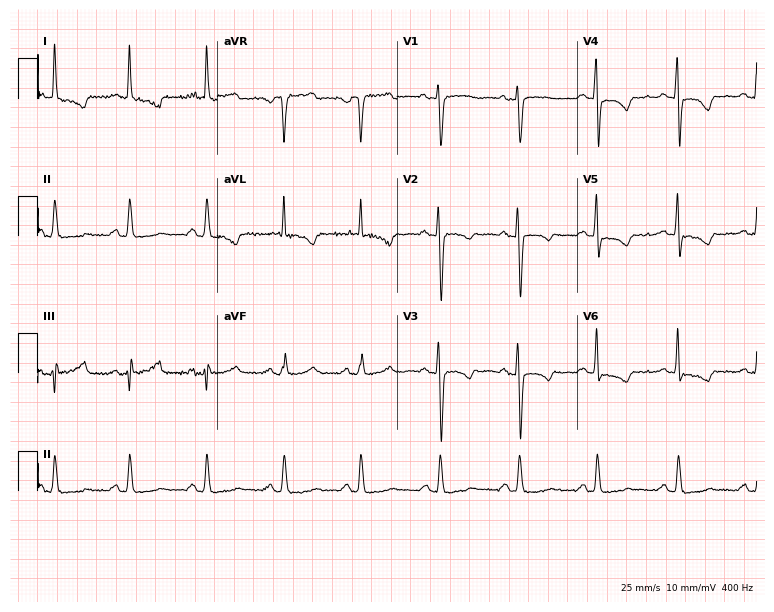
Standard 12-lead ECG recorded from a female patient, 50 years old (7.3-second recording at 400 Hz). None of these six findings is recorded: first-degree AV block, right bundle branch block, left bundle branch block, sinus bradycardia, atrial fibrillation, sinus tachycardia.